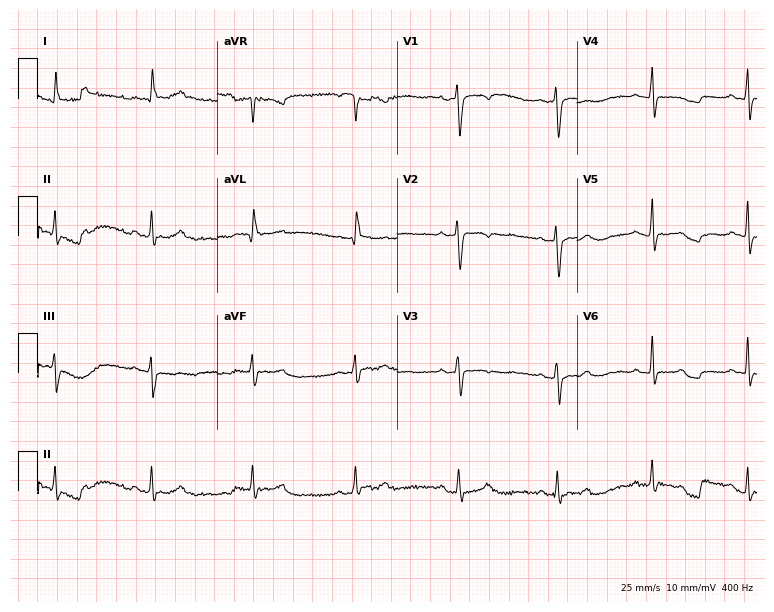
ECG — a 57-year-old female. Screened for six findings — first-degree AV block, right bundle branch block, left bundle branch block, sinus bradycardia, atrial fibrillation, sinus tachycardia — none is recorded.